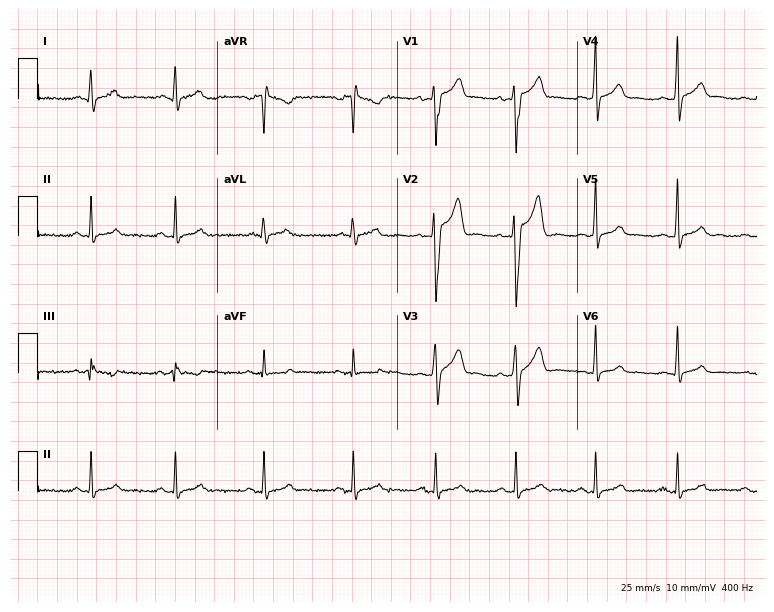
12-lead ECG (7.3-second recording at 400 Hz) from a 24-year-old male patient. Screened for six findings — first-degree AV block, right bundle branch block (RBBB), left bundle branch block (LBBB), sinus bradycardia, atrial fibrillation (AF), sinus tachycardia — none is recorded. Only these six findings were labelled.